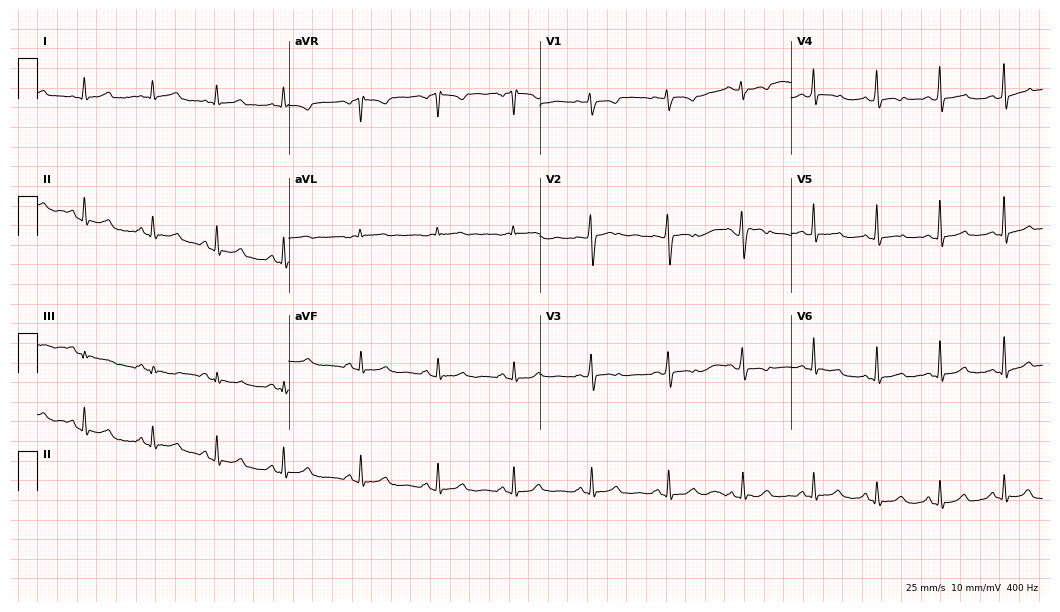
Standard 12-lead ECG recorded from a 25-year-old female (10.2-second recording at 400 Hz). Read as a normal ECG.